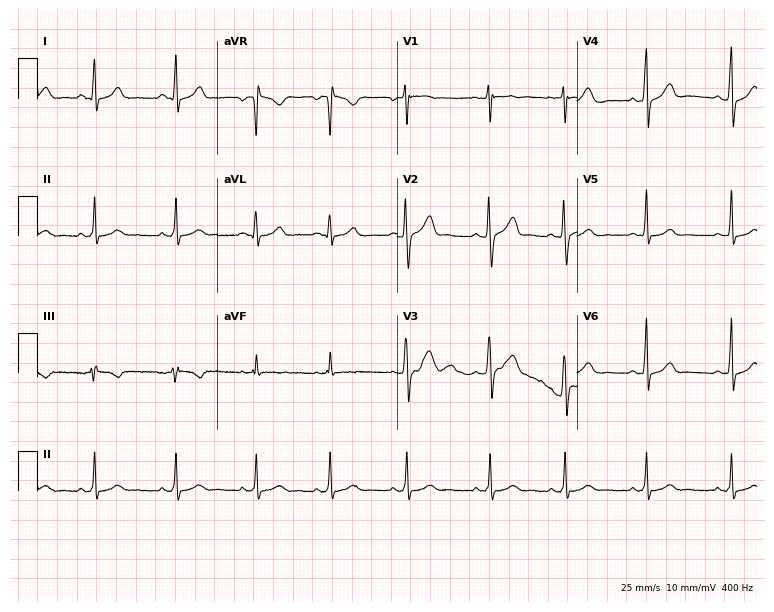
Standard 12-lead ECG recorded from a male, 25 years old (7.3-second recording at 400 Hz). Read as a normal ECG.